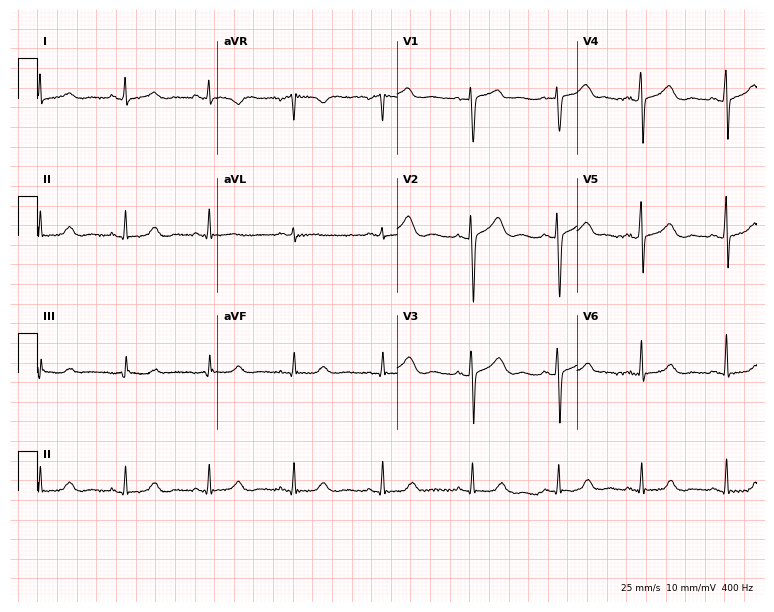
12-lead ECG from a 33-year-old female patient. Recorded interpretation: within normal limits.